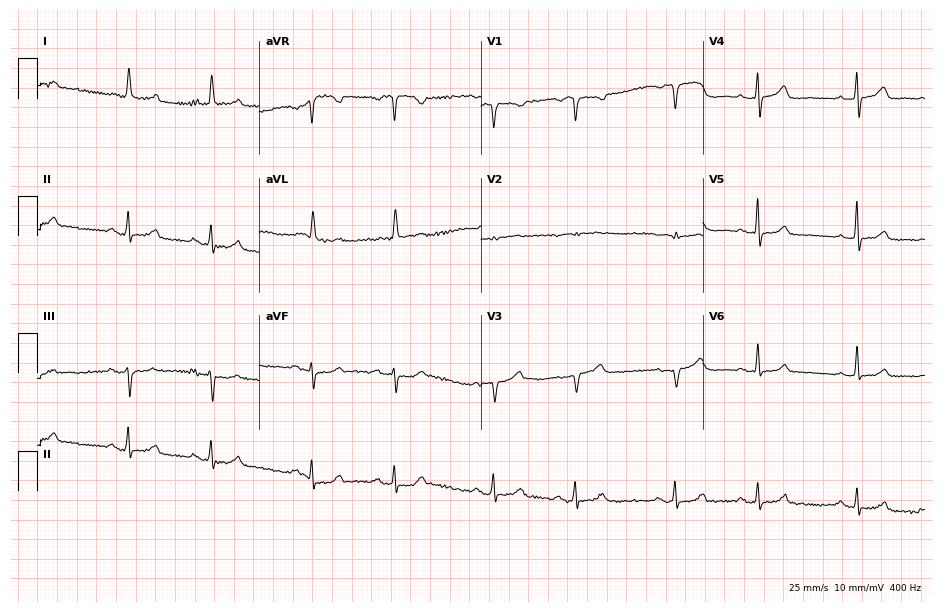
Resting 12-lead electrocardiogram (9-second recording at 400 Hz). Patient: a female, 74 years old. None of these six findings is recorded: first-degree AV block, right bundle branch block, left bundle branch block, sinus bradycardia, atrial fibrillation, sinus tachycardia.